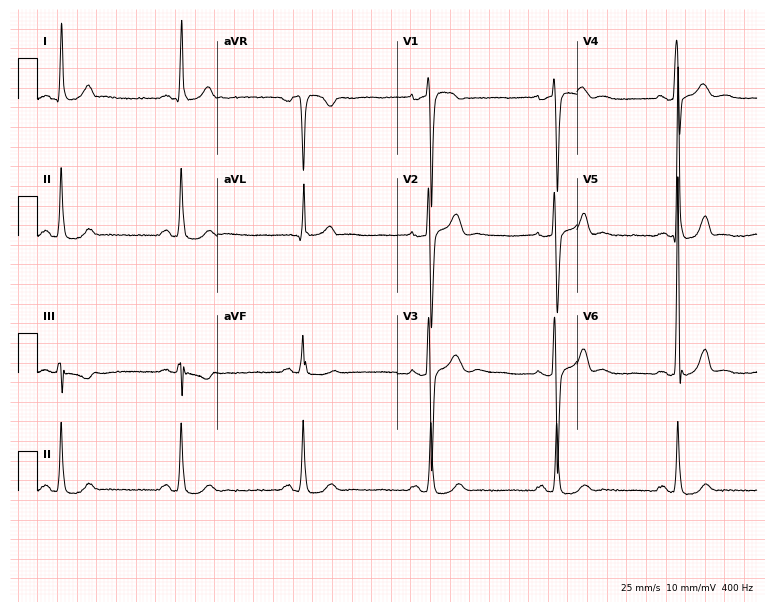
12-lead ECG from a male patient, 56 years old. No first-degree AV block, right bundle branch block, left bundle branch block, sinus bradycardia, atrial fibrillation or sinus tachycardia recorded for this tracing.